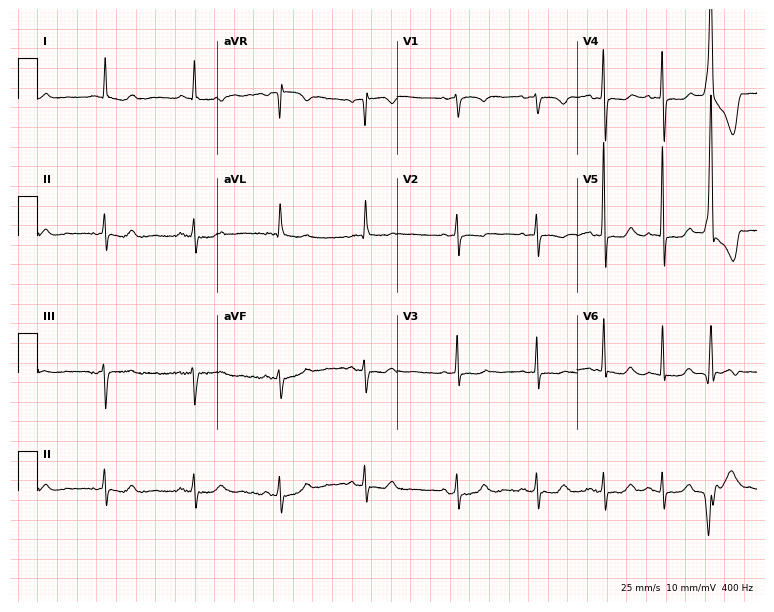
Electrocardiogram (7.3-second recording at 400 Hz), a female, 76 years old. Of the six screened findings (first-degree AV block, right bundle branch block (RBBB), left bundle branch block (LBBB), sinus bradycardia, atrial fibrillation (AF), sinus tachycardia), none is recorded. Other findings, if any, are not listed.